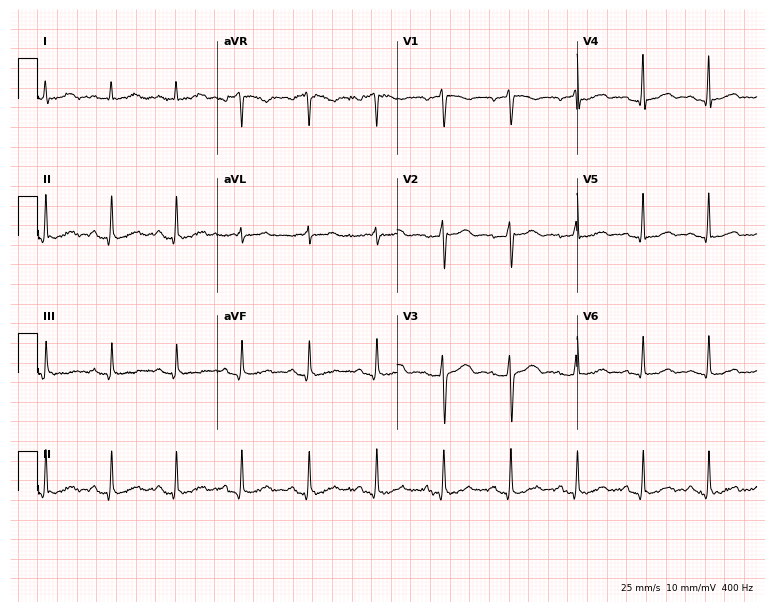
12-lead ECG from a 53-year-old male. Recorded interpretation: within normal limits.